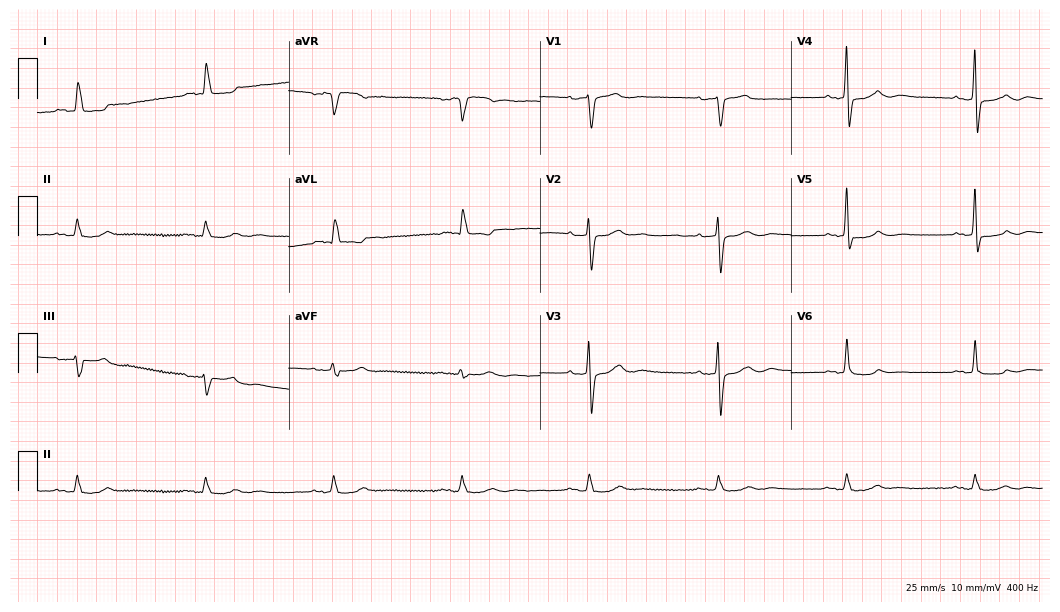
ECG — a 75-year-old woman. Findings include sinus bradycardia (a sinus rate of 50 beats per minute or less).